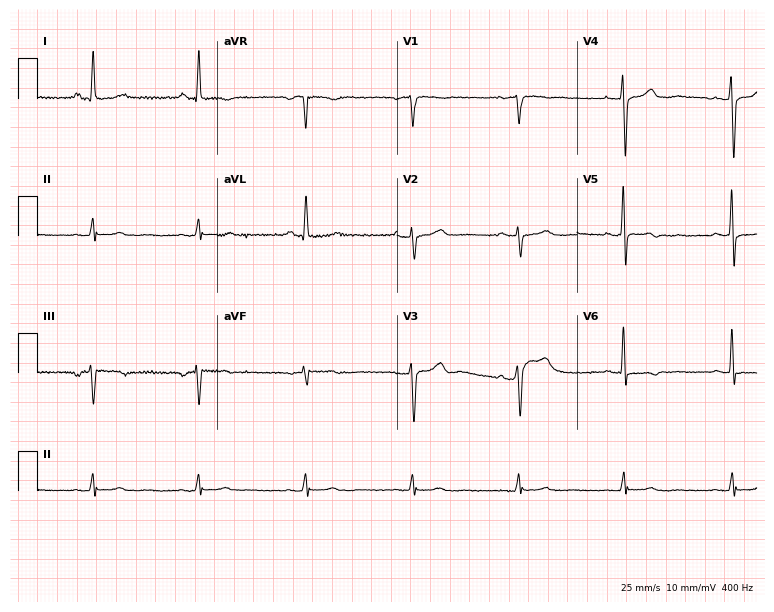
12-lead ECG from a 62-year-old female (7.3-second recording at 400 Hz). No first-degree AV block, right bundle branch block (RBBB), left bundle branch block (LBBB), sinus bradycardia, atrial fibrillation (AF) or sinus tachycardia recorded for this tracing. Only these six findings were labelled.